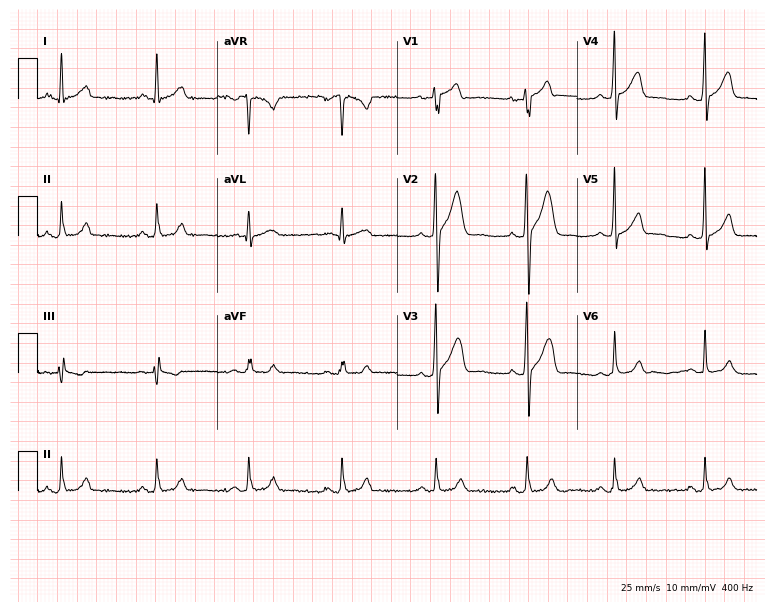
ECG — a 38-year-old male patient. Labelled as a normal ECG.